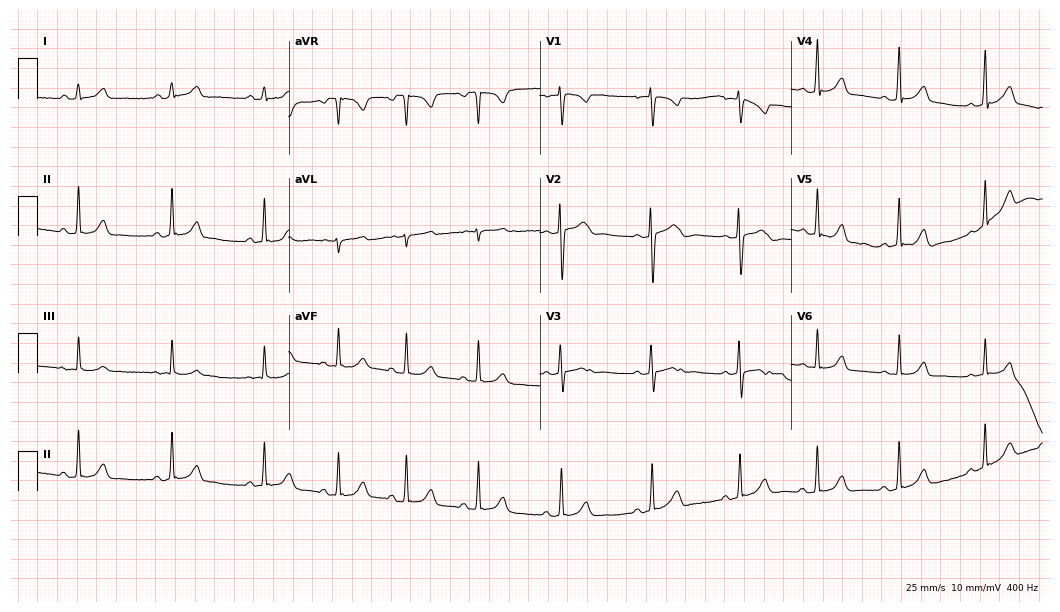
12-lead ECG from a female patient, 24 years old. Recorded interpretation: within normal limits.